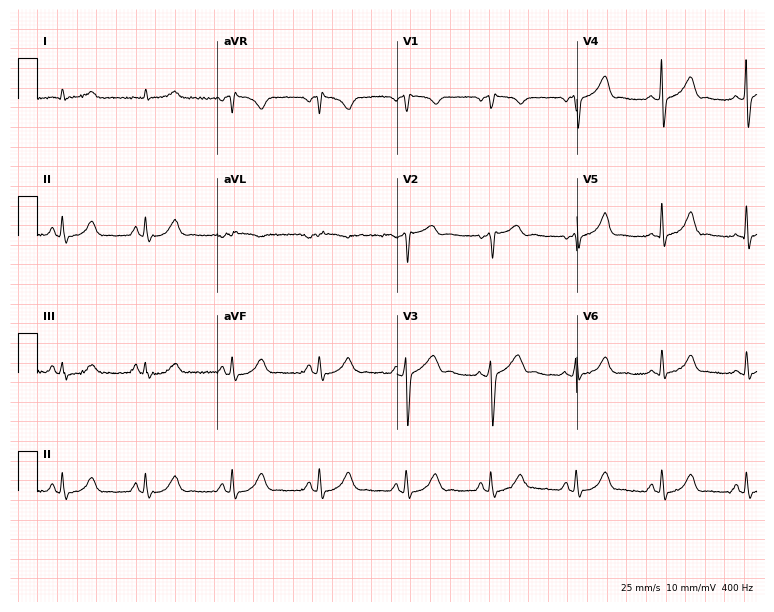
12-lead ECG from a male patient, 64 years old. No first-degree AV block, right bundle branch block (RBBB), left bundle branch block (LBBB), sinus bradycardia, atrial fibrillation (AF) or sinus tachycardia recorded for this tracing.